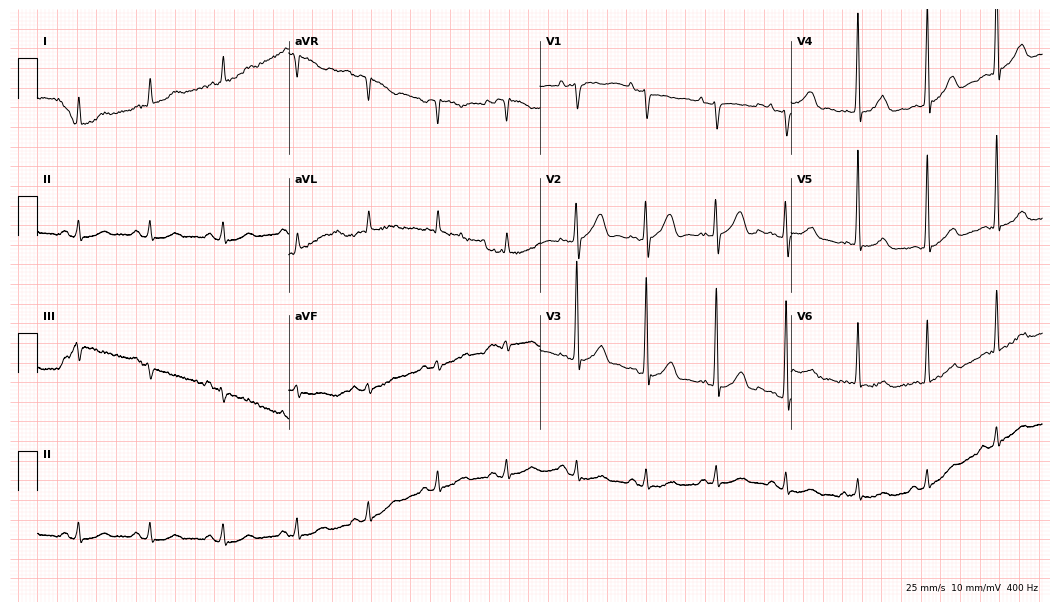
12-lead ECG from a 75-year-old man. No first-degree AV block, right bundle branch block, left bundle branch block, sinus bradycardia, atrial fibrillation or sinus tachycardia recorded for this tracing.